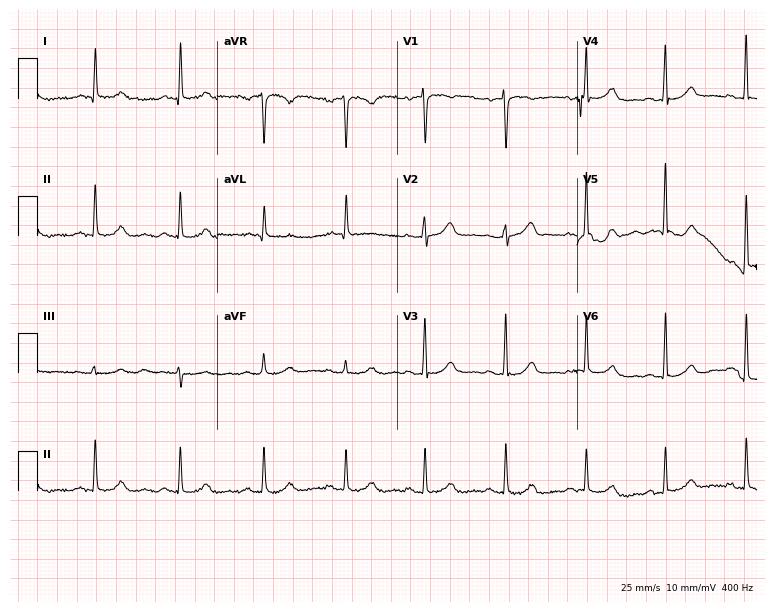
Standard 12-lead ECG recorded from a 72-year-old female. Read as a normal ECG.